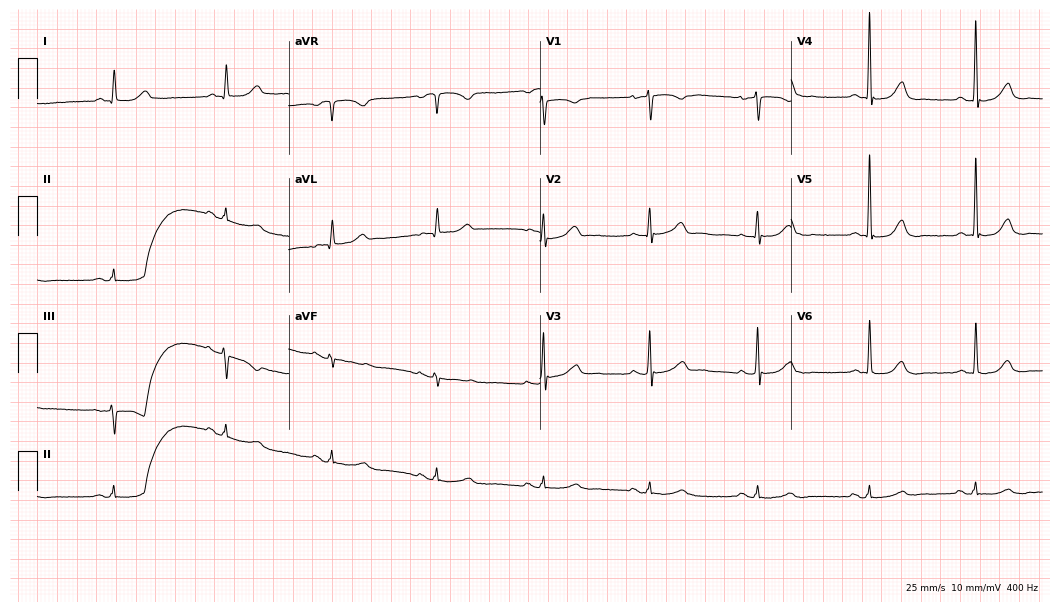
12-lead ECG from a 68-year-old female patient (10.2-second recording at 400 Hz). No first-degree AV block, right bundle branch block, left bundle branch block, sinus bradycardia, atrial fibrillation or sinus tachycardia recorded for this tracing. Findings outside these six are not listed.